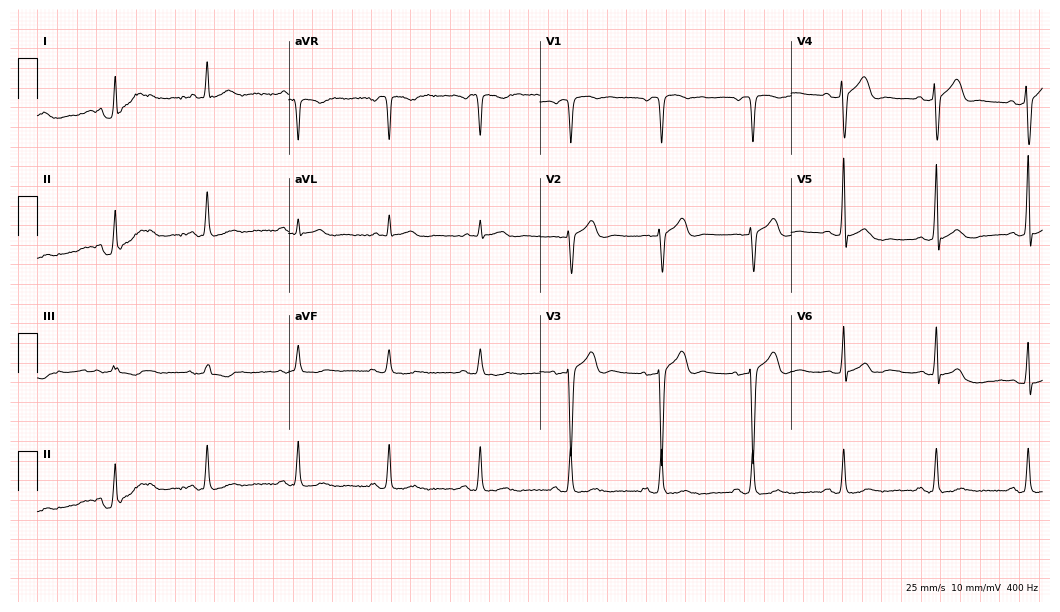
12-lead ECG from a 62-year-old male patient (10.2-second recording at 400 Hz). Recorded interpretation: within normal limits.